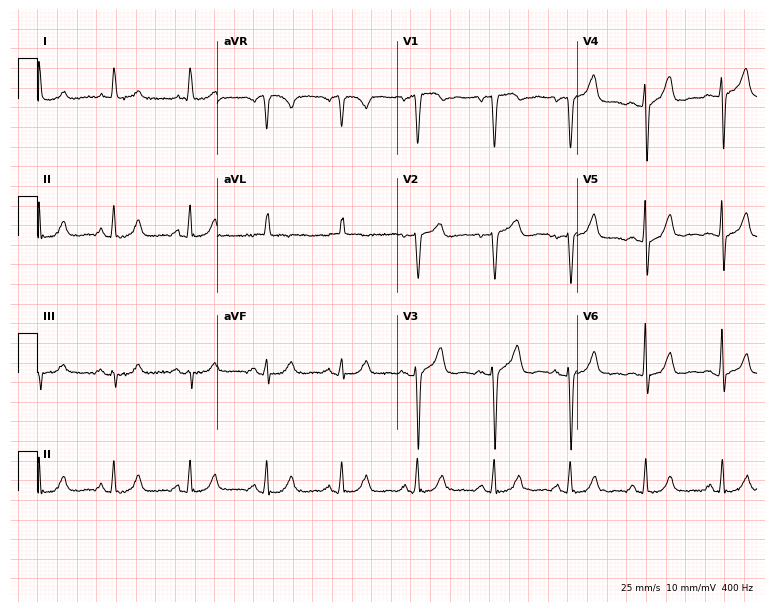
Electrocardiogram, a female patient, 70 years old. Overall reading on record: normal ECG.